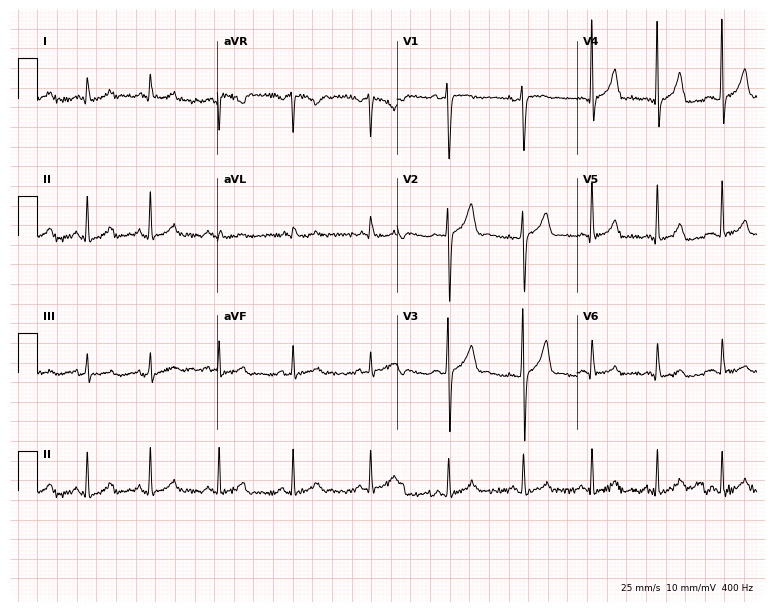
12-lead ECG from a male patient, 30 years old. Recorded interpretation: within normal limits.